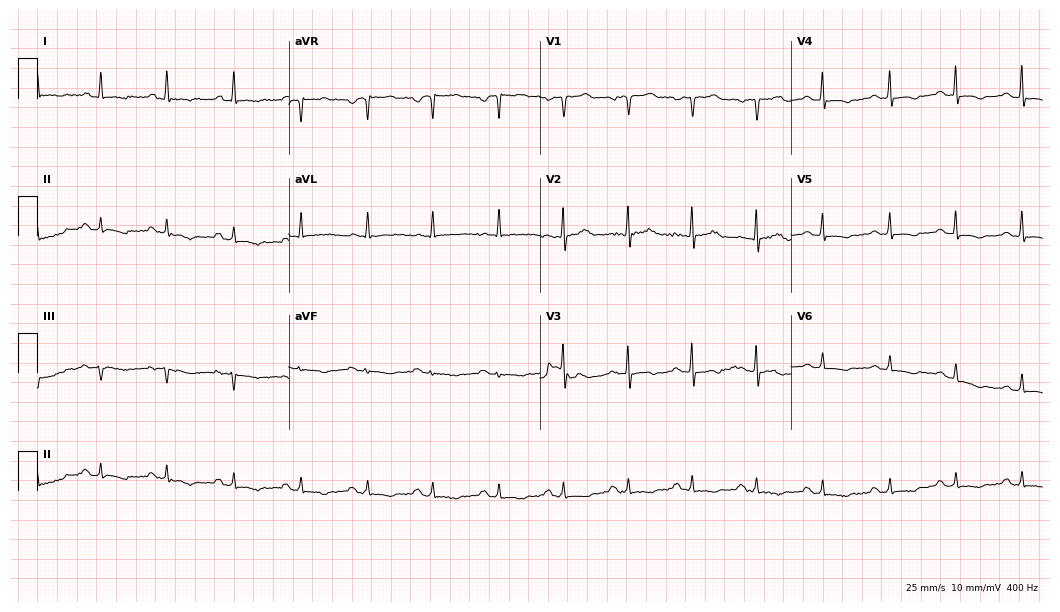
12-lead ECG from a female, 55 years old. Screened for six findings — first-degree AV block, right bundle branch block (RBBB), left bundle branch block (LBBB), sinus bradycardia, atrial fibrillation (AF), sinus tachycardia — none is recorded. Other findings, if any, are not listed.